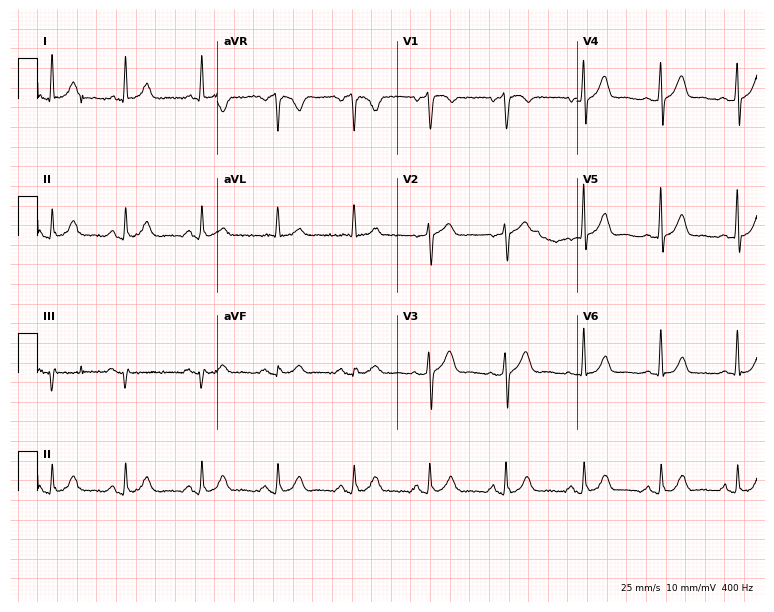
Resting 12-lead electrocardiogram. Patient: a woman, 66 years old. Read as a normal ECG.